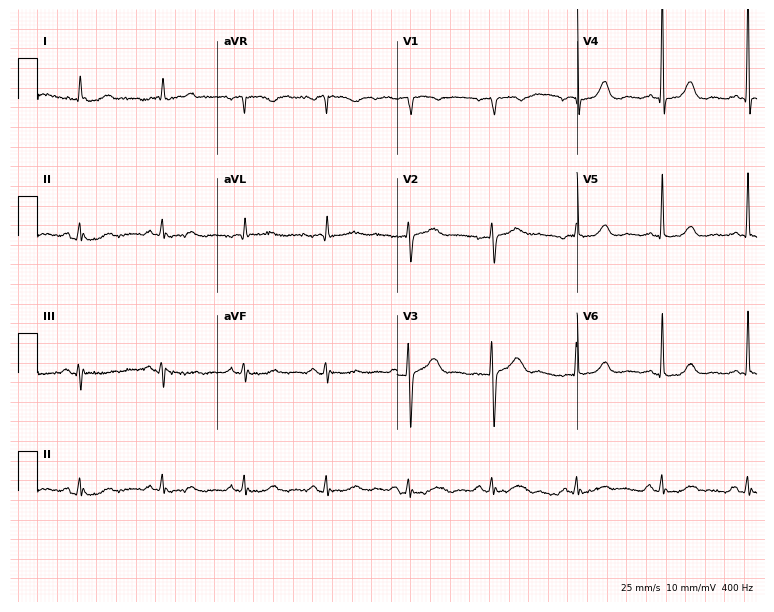
Resting 12-lead electrocardiogram (7.3-second recording at 400 Hz). Patient: a 74-year-old woman. Read as a normal ECG.